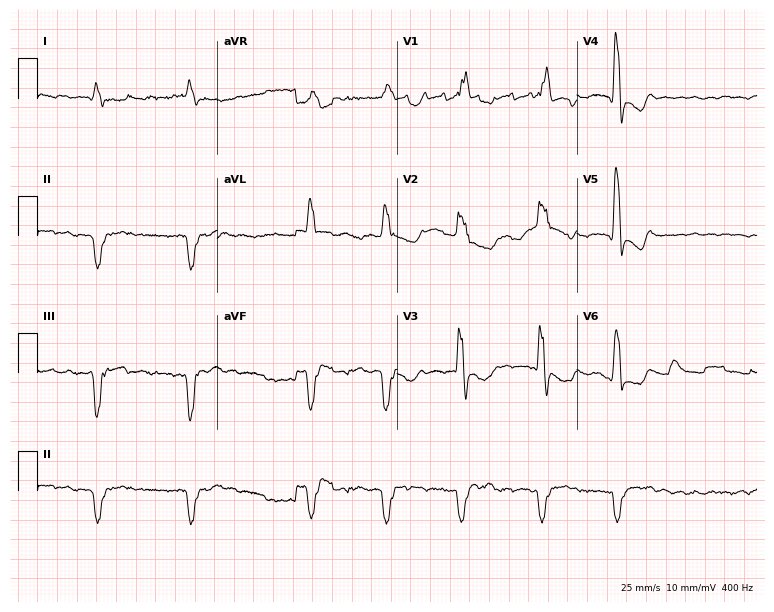
12-lead ECG from a 61-year-old man. Shows right bundle branch block, atrial fibrillation.